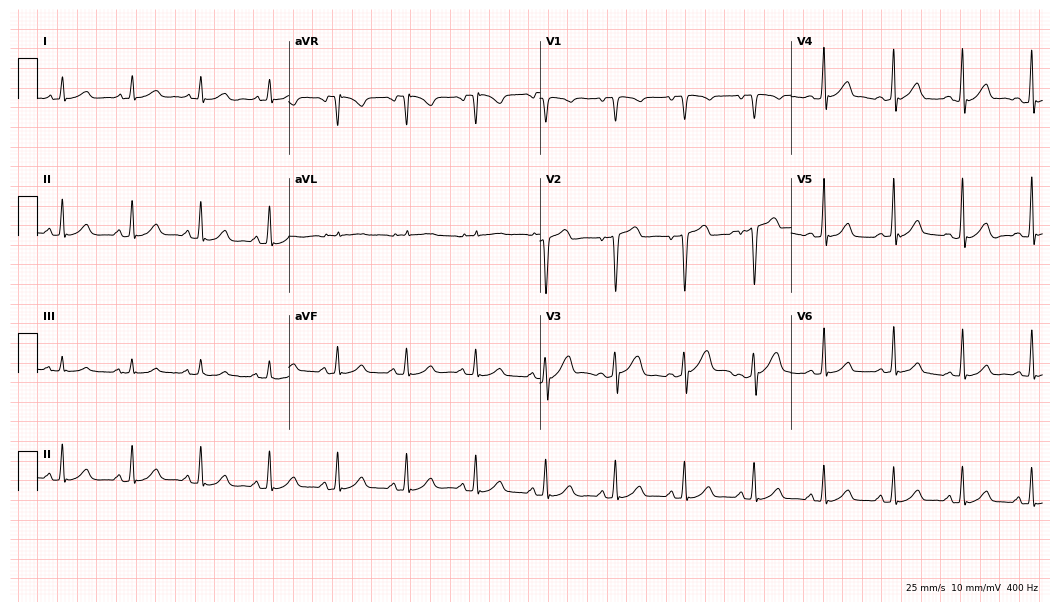
Resting 12-lead electrocardiogram (10.2-second recording at 400 Hz). Patient: a 46-year-old male. Read as a normal ECG.